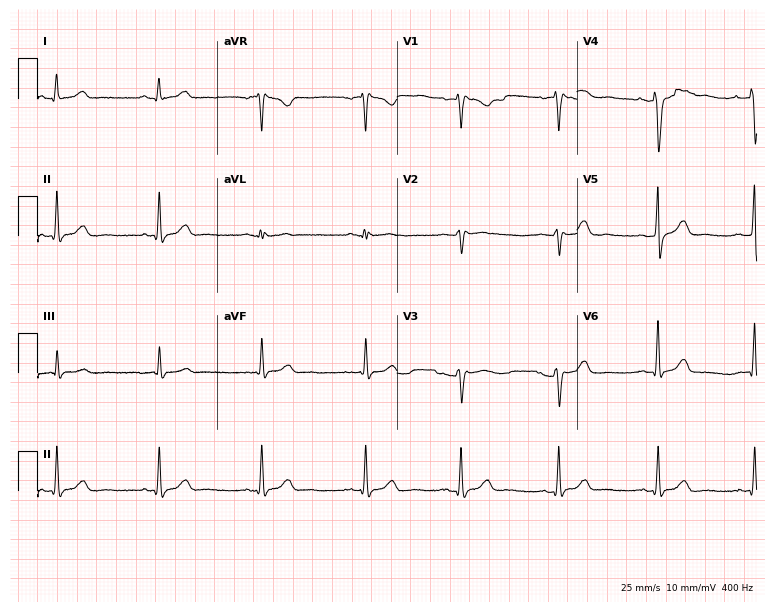
12-lead ECG from a 42-year-old female patient. Labelled as a normal ECG.